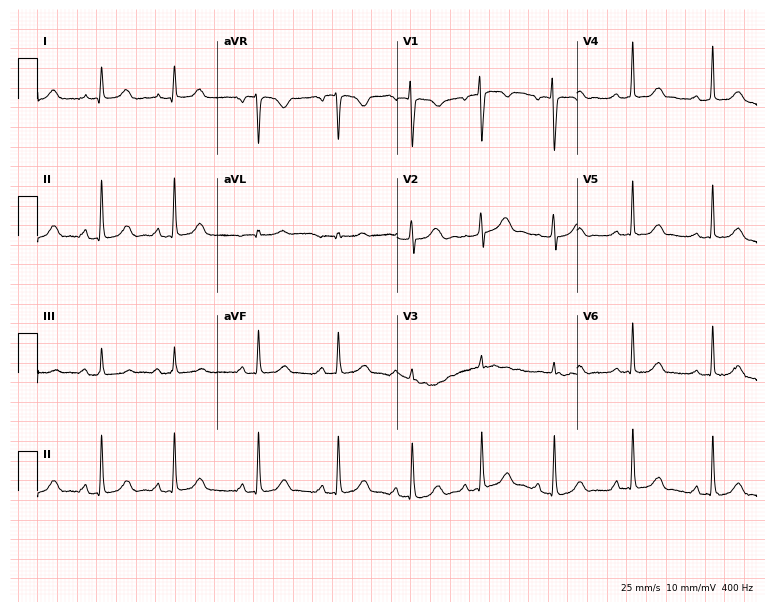
12-lead ECG (7.3-second recording at 400 Hz) from a 20-year-old woman. Labelled as a normal ECG.